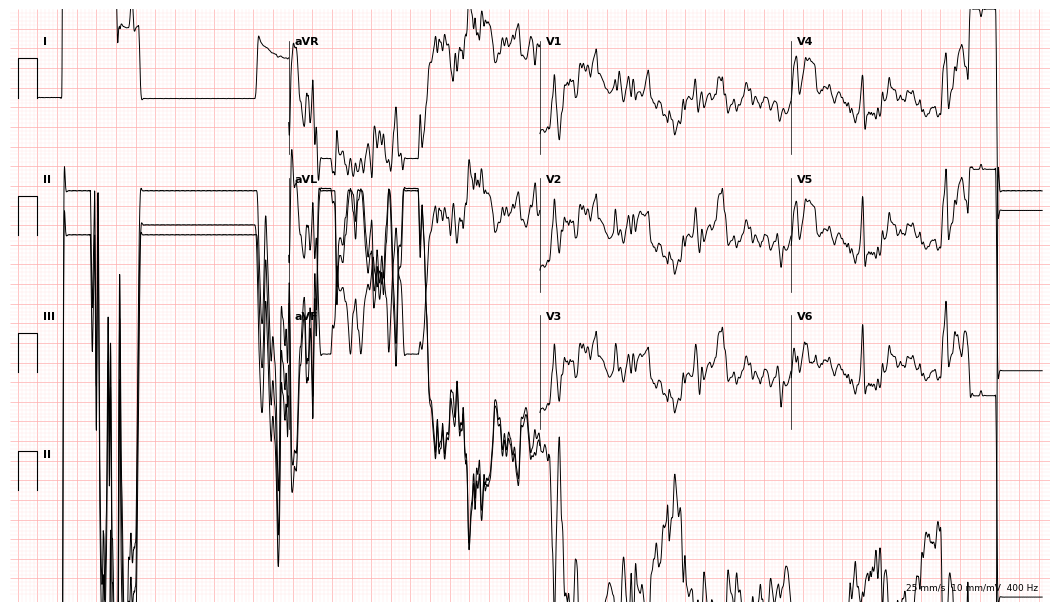
12-lead ECG from a male patient, 37 years old. No first-degree AV block, right bundle branch block, left bundle branch block, sinus bradycardia, atrial fibrillation or sinus tachycardia recorded for this tracing.